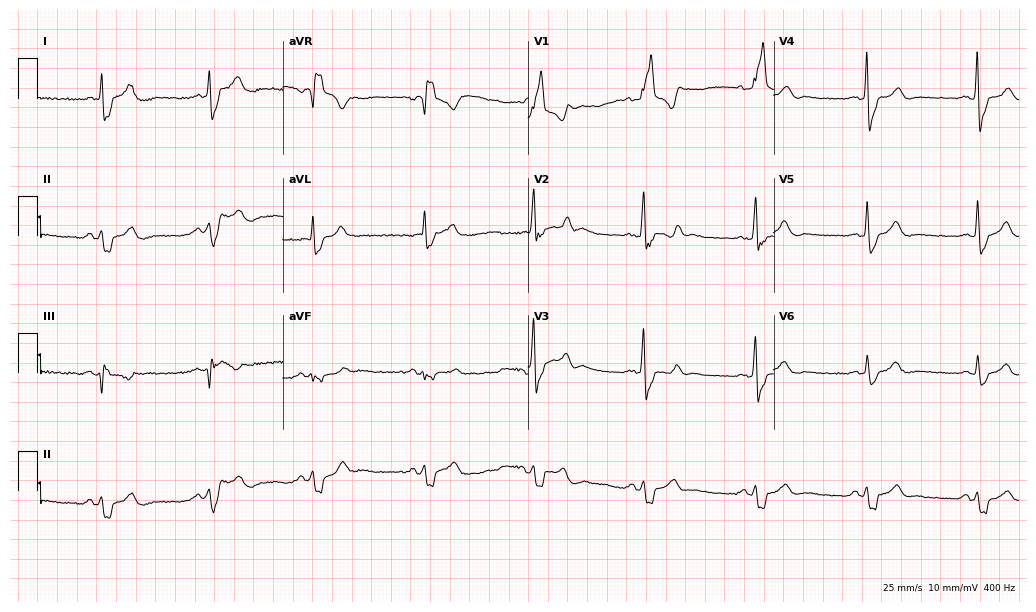
ECG — a man, 67 years old. Screened for six findings — first-degree AV block, right bundle branch block, left bundle branch block, sinus bradycardia, atrial fibrillation, sinus tachycardia — none is recorded.